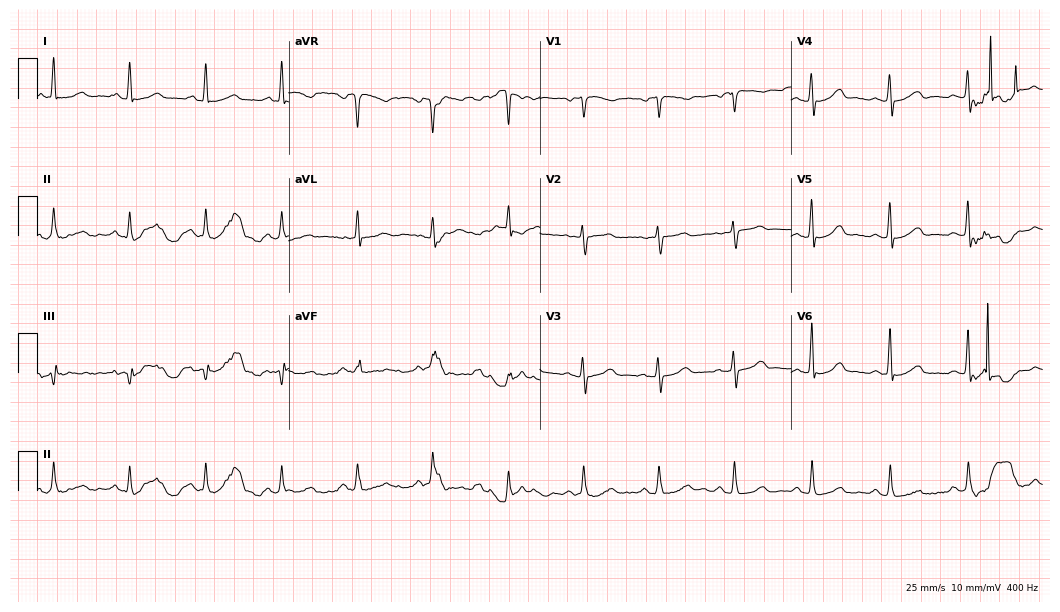
12-lead ECG from a 70-year-old female patient (10.2-second recording at 400 Hz). Recorded interpretation: within normal limits.